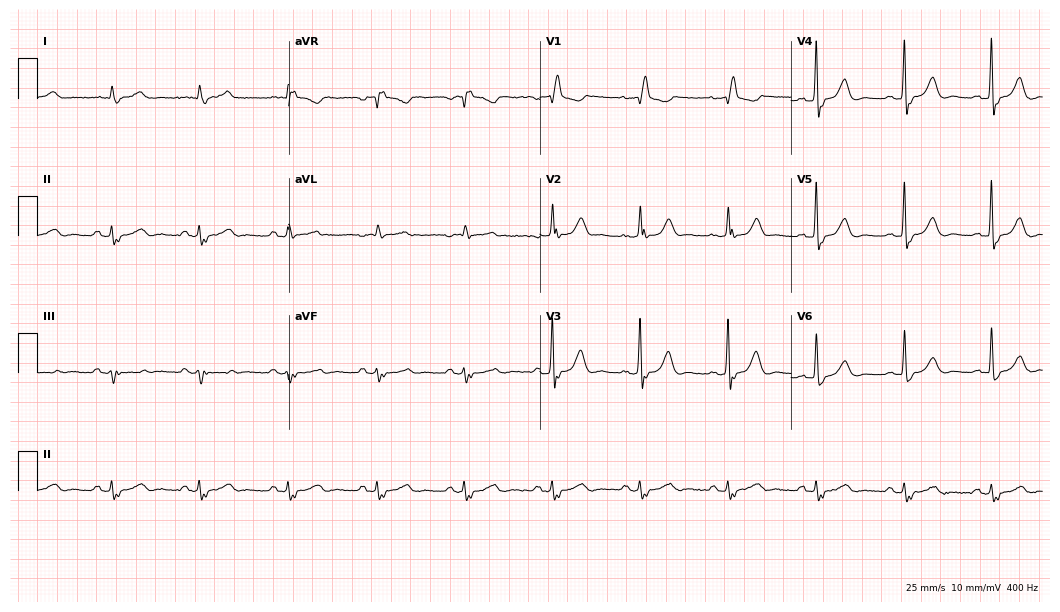
12-lead ECG from a man, 75 years old. Shows right bundle branch block.